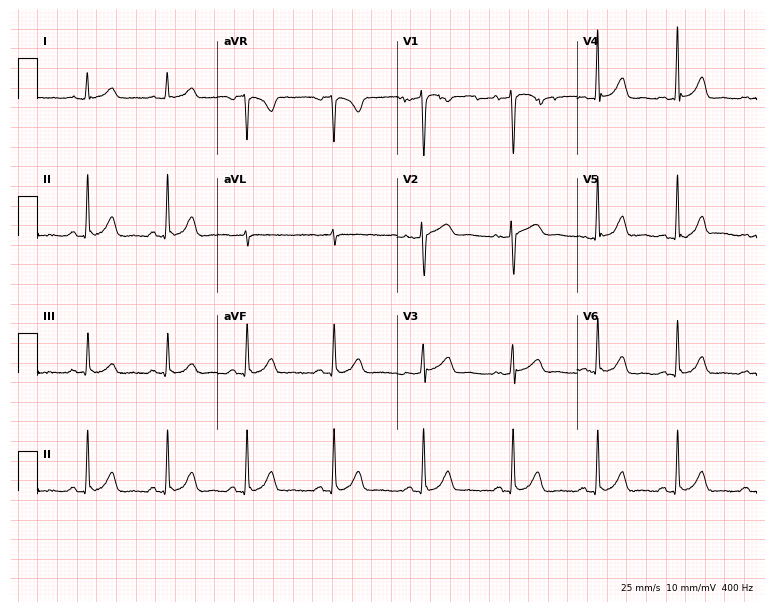
12-lead ECG from a female, 34 years old. Screened for six findings — first-degree AV block, right bundle branch block, left bundle branch block, sinus bradycardia, atrial fibrillation, sinus tachycardia — none is recorded.